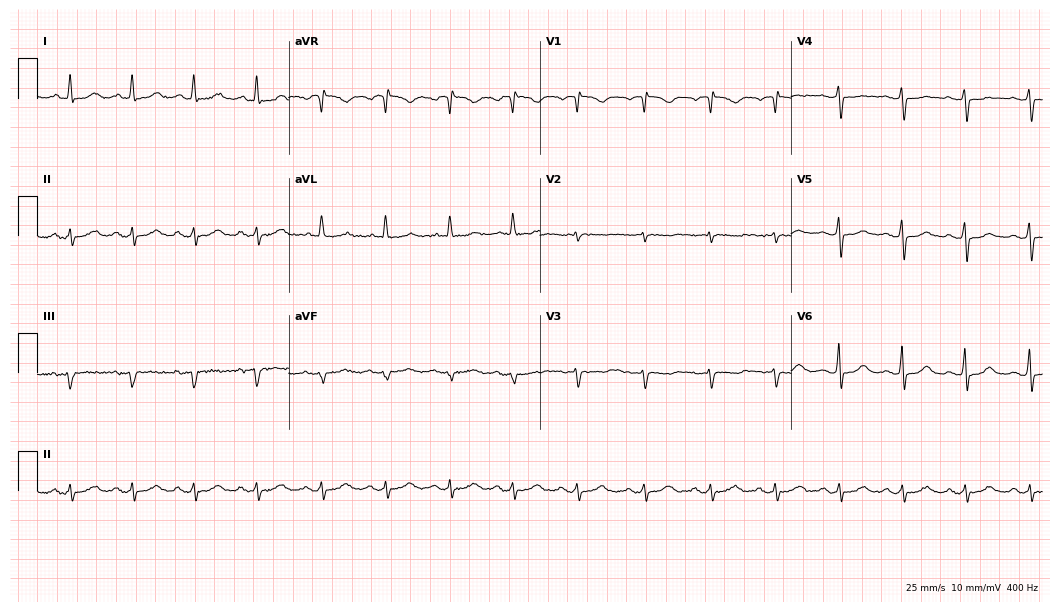
12-lead ECG from a 68-year-old female patient. No first-degree AV block, right bundle branch block, left bundle branch block, sinus bradycardia, atrial fibrillation or sinus tachycardia recorded for this tracing.